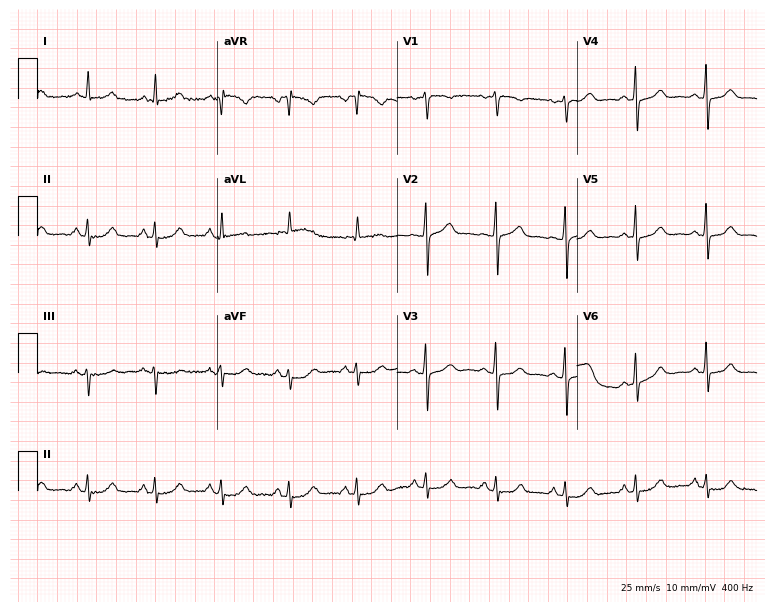
Electrocardiogram (7.3-second recording at 400 Hz), a 70-year-old female patient. Overall reading on record: normal ECG.